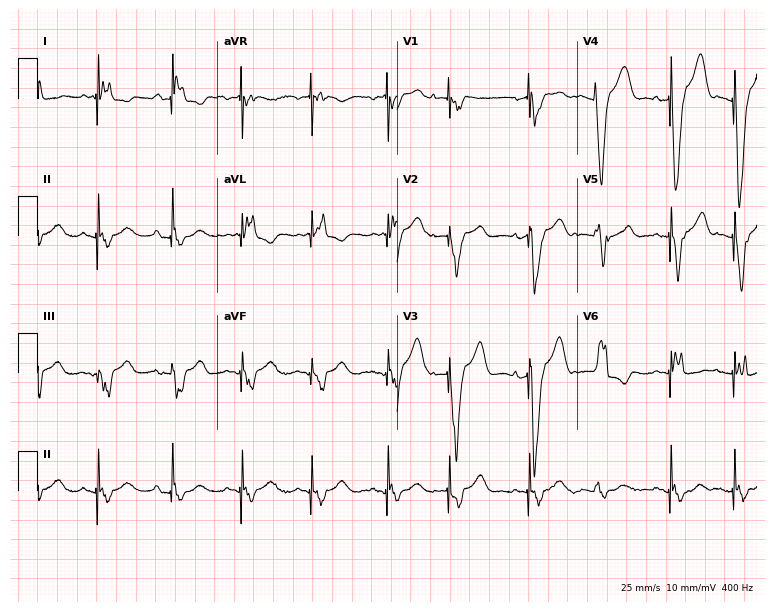
Standard 12-lead ECG recorded from a 72-year-old female patient (7.3-second recording at 400 Hz). None of these six findings is recorded: first-degree AV block, right bundle branch block (RBBB), left bundle branch block (LBBB), sinus bradycardia, atrial fibrillation (AF), sinus tachycardia. Findings outside these six are not listed.